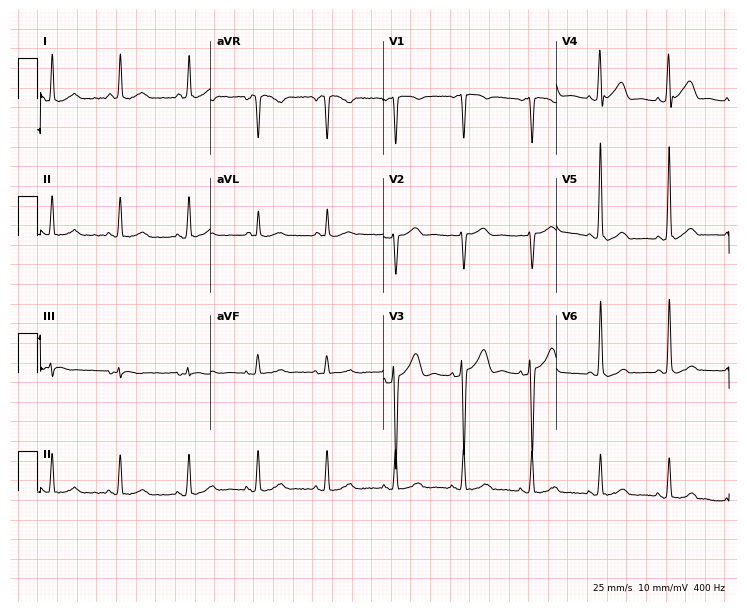
Electrocardiogram, a man, 66 years old. Of the six screened findings (first-degree AV block, right bundle branch block (RBBB), left bundle branch block (LBBB), sinus bradycardia, atrial fibrillation (AF), sinus tachycardia), none is recorded. Only these six findings were labelled.